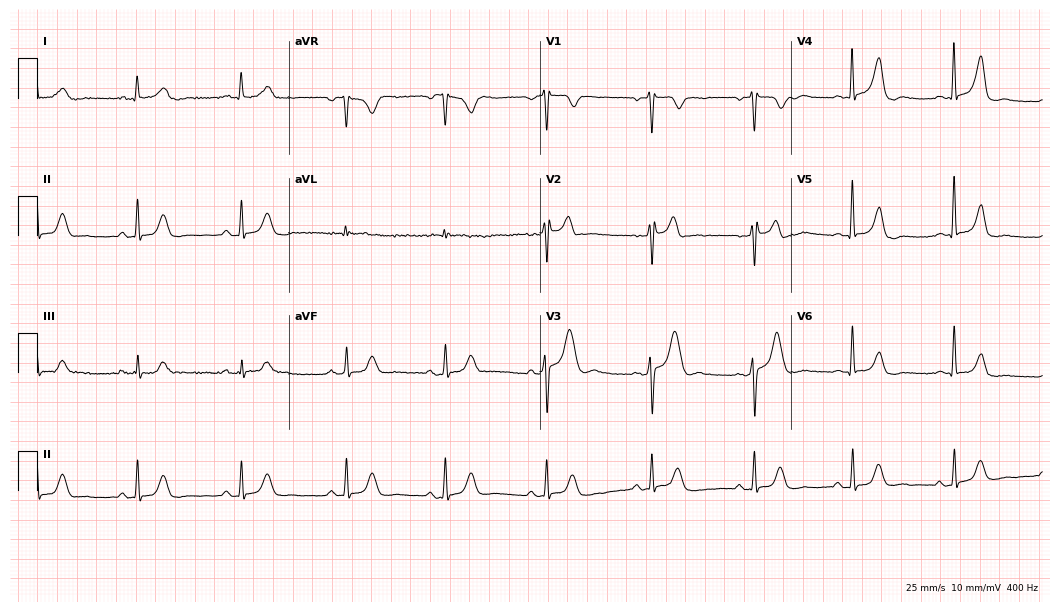
Standard 12-lead ECG recorded from a 49-year-old female patient. Read as a normal ECG.